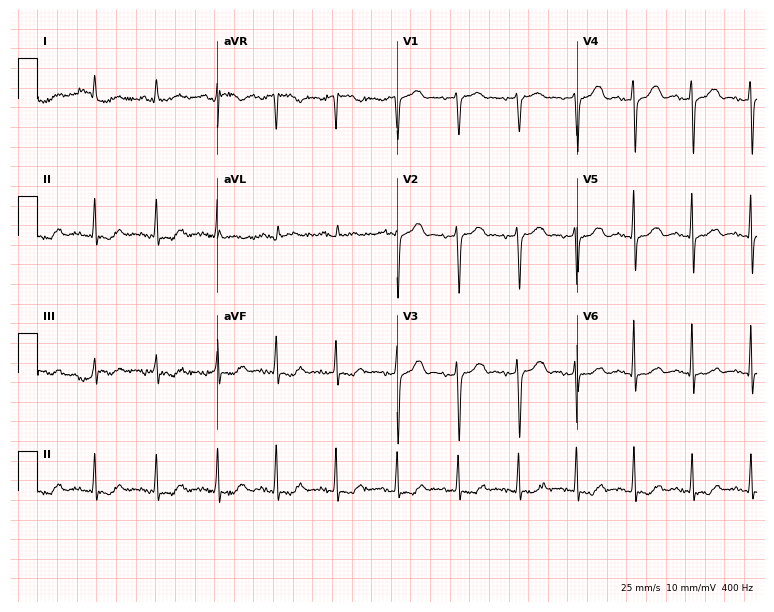
Resting 12-lead electrocardiogram. Patient: a woman, 69 years old. None of these six findings is recorded: first-degree AV block, right bundle branch block (RBBB), left bundle branch block (LBBB), sinus bradycardia, atrial fibrillation (AF), sinus tachycardia.